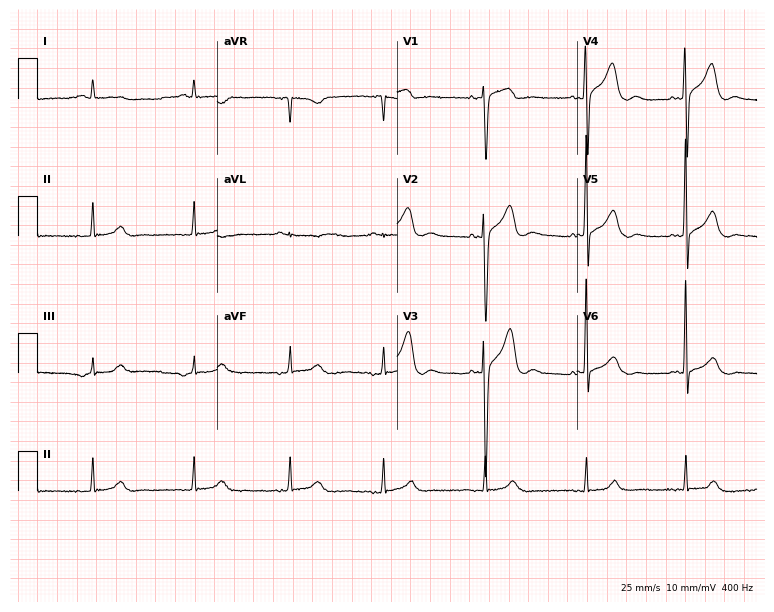
ECG (7.3-second recording at 400 Hz) — a man, 74 years old. Labelled as a normal ECG.